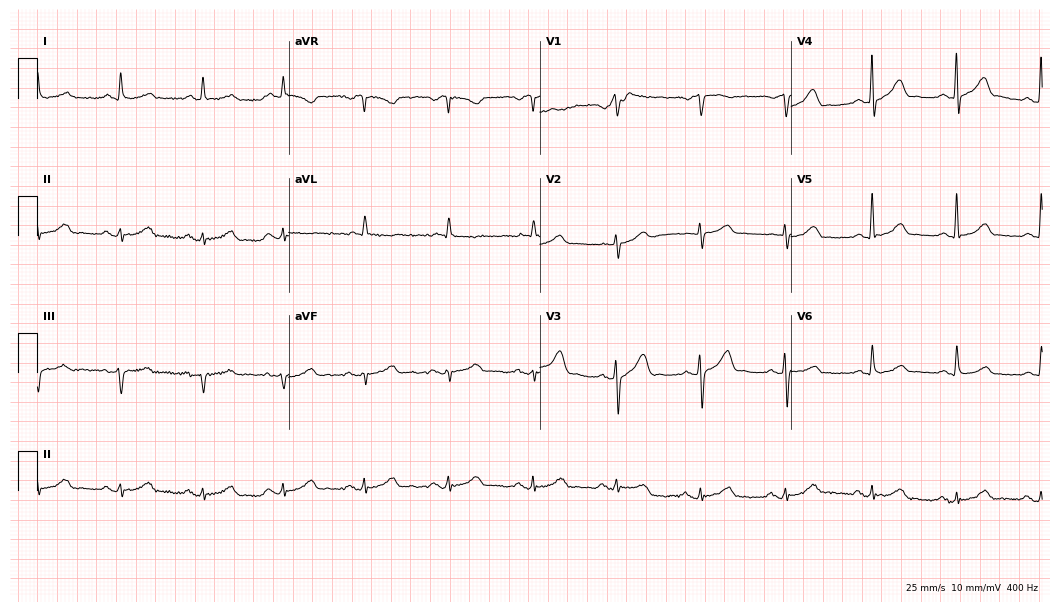
Electrocardiogram (10.2-second recording at 400 Hz), a 66-year-old male patient. Overall reading on record: normal ECG.